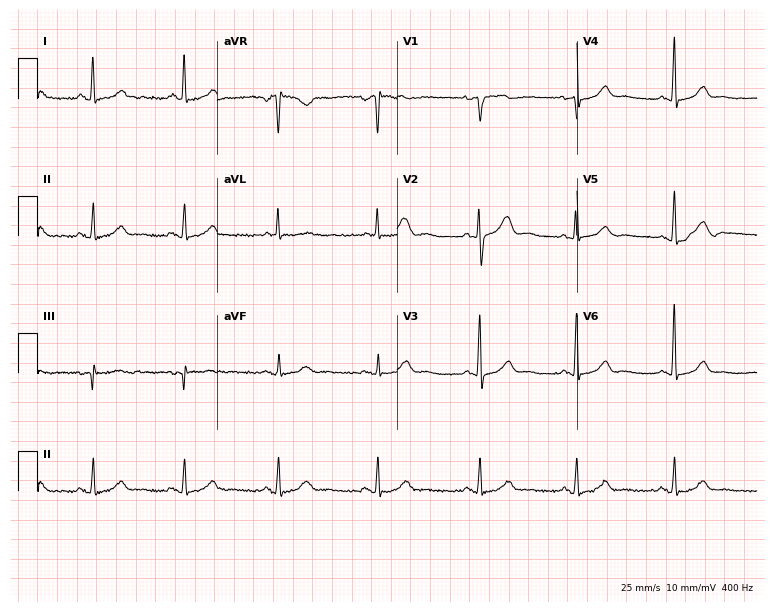
Electrocardiogram, a female, 63 years old. Of the six screened findings (first-degree AV block, right bundle branch block, left bundle branch block, sinus bradycardia, atrial fibrillation, sinus tachycardia), none is recorded. Findings outside these six are not listed.